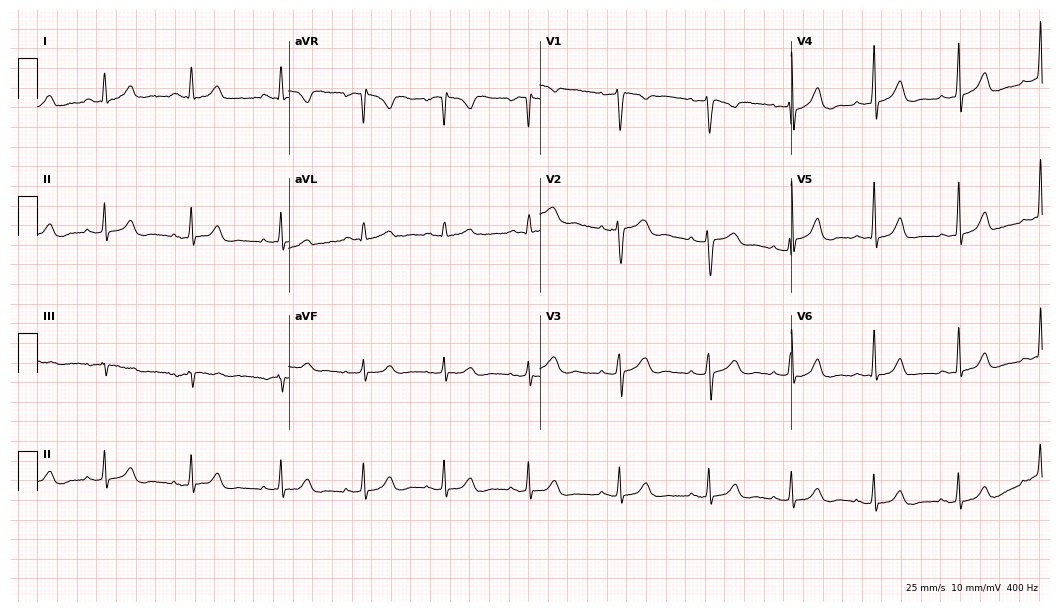
Resting 12-lead electrocardiogram. Patient: a 30-year-old female. Read as a normal ECG.